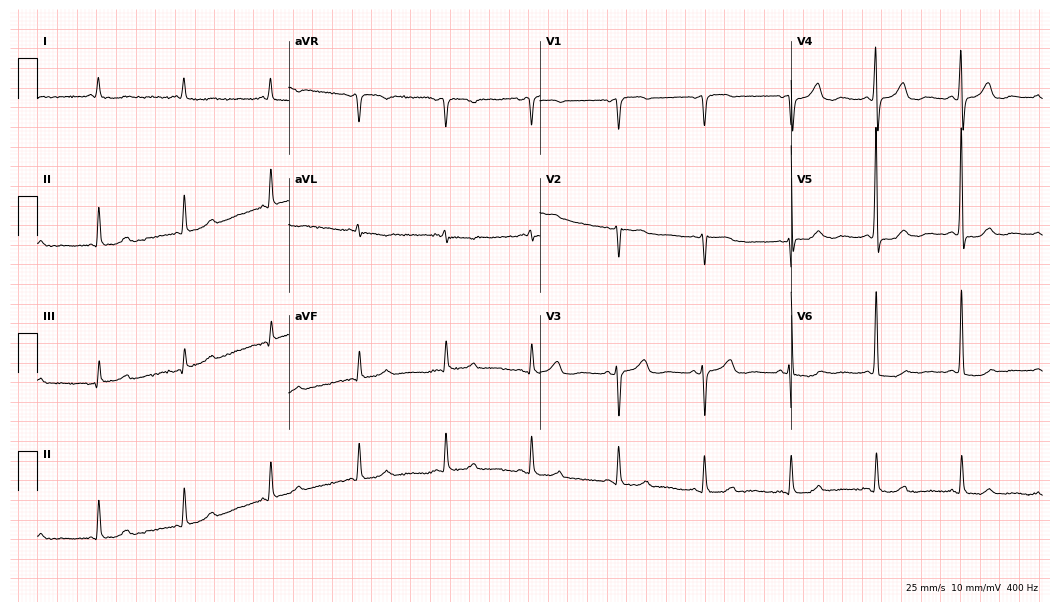
ECG — a woman, 78 years old. Screened for six findings — first-degree AV block, right bundle branch block (RBBB), left bundle branch block (LBBB), sinus bradycardia, atrial fibrillation (AF), sinus tachycardia — none is recorded. Only these six findings were labelled.